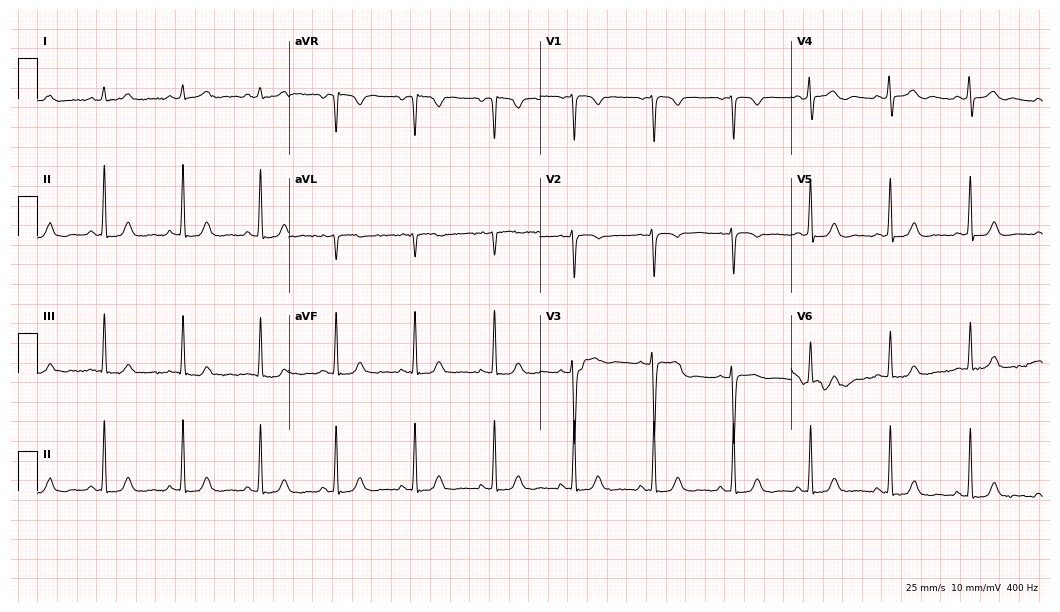
Electrocardiogram (10.2-second recording at 400 Hz), a 37-year-old woman. Overall reading on record: normal ECG.